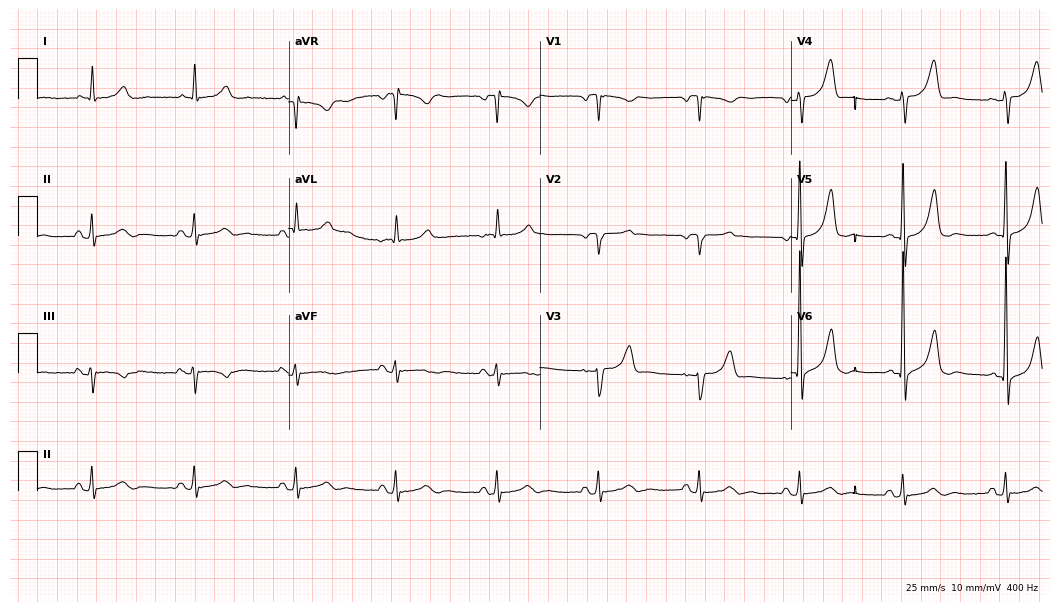
Standard 12-lead ECG recorded from a man, 72 years old (10.2-second recording at 400 Hz). None of these six findings is recorded: first-degree AV block, right bundle branch block (RBBB), left bundle branch block (LBBB), sinus bradycardia, atrial fibrillation (AF), sinus tachycardia. Other findings, if any, are not listed.